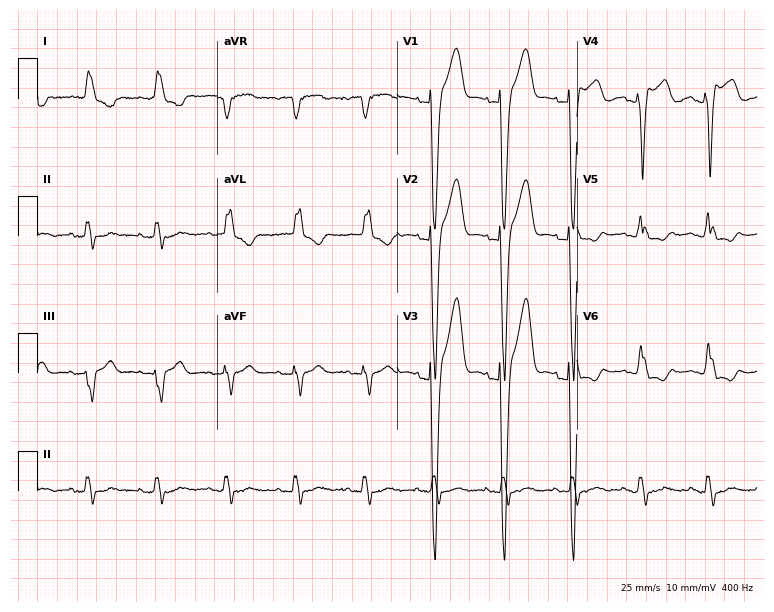
12-lead ECG from a female, 84 years old (7.3-second recording at 400 Hz). Shows left bundle branch block.